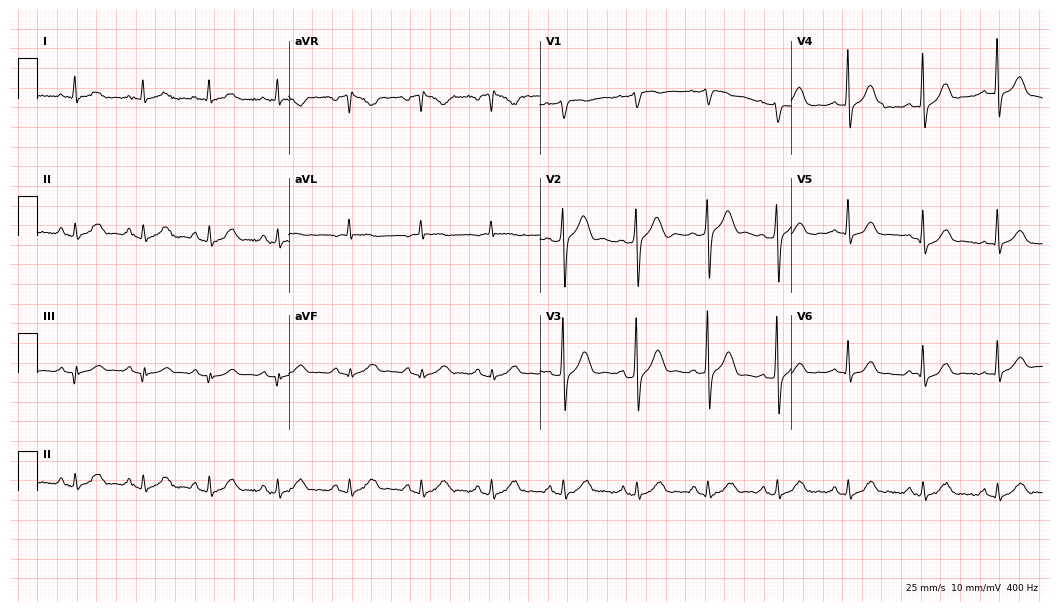
12-lead ECG from a 49-year-old male. Recorded interpretation: within normal limits.